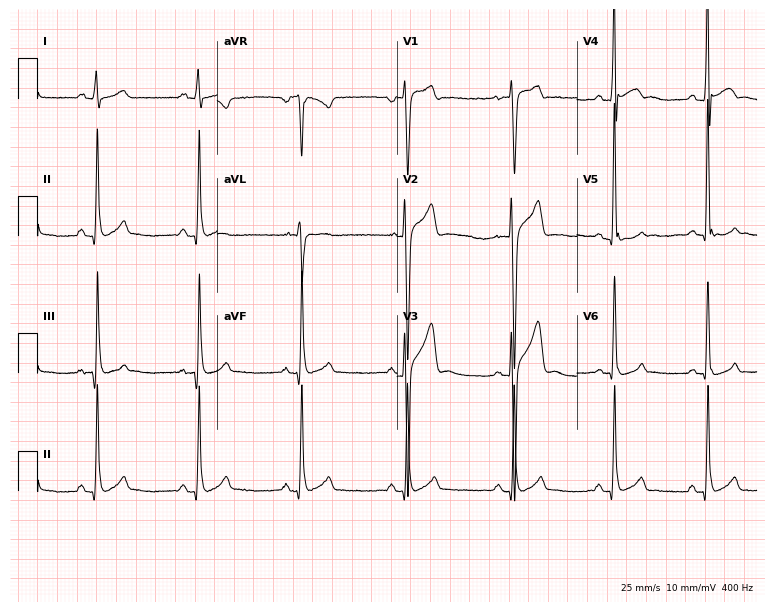
ECG — a 21-year-old male. Labelled as a normal ECG.